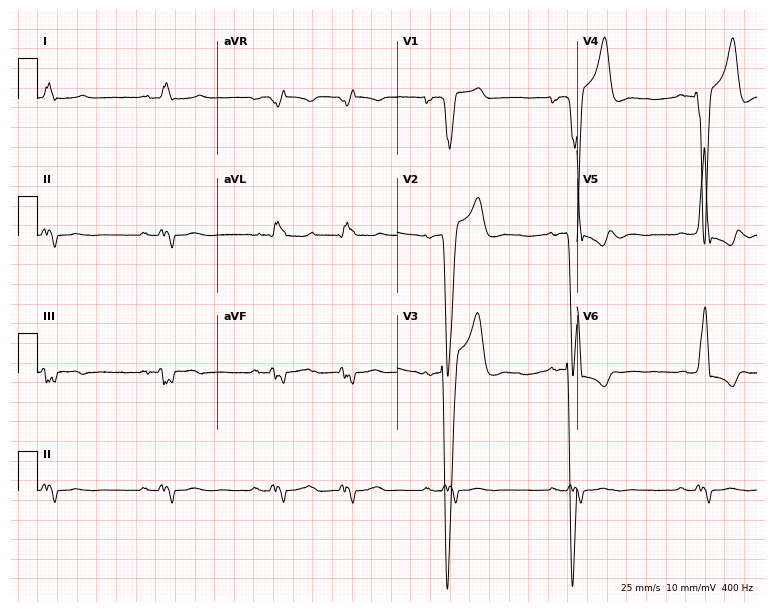
12-lead ECG from a 71-year-old man (7.3-second recording at 400 Hz). Shows left bundle branch block (LBBB).